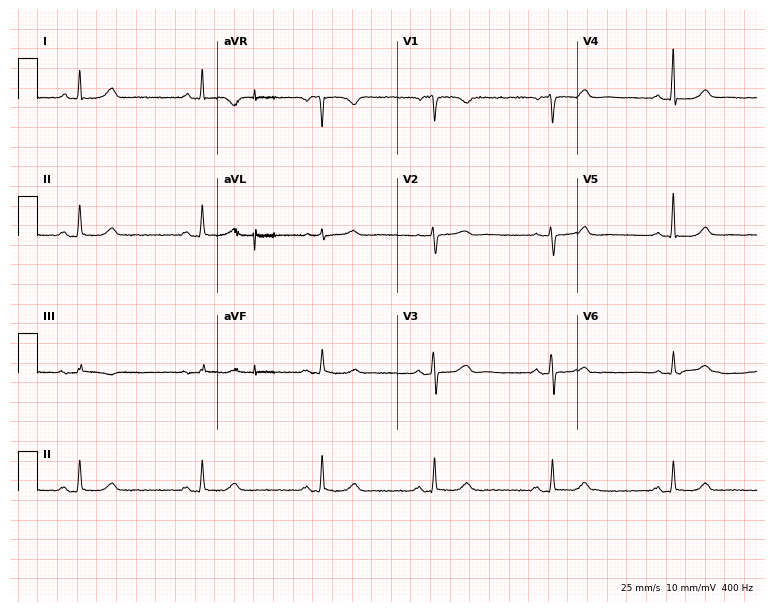
Electrocardiogram, a woman, 73 years old. Interpretation includes sinus bradycardia (a sinus rate of 50 beats per minute or less).